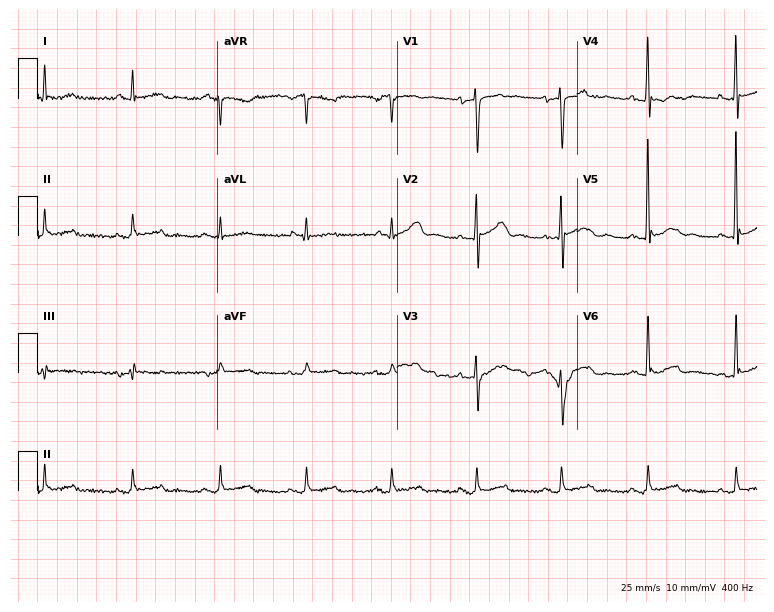
12-lead ECG from a male patient, 69 years old (7.3-second recording at 400 Hz). No first-degree AV block, right bundle branch block (RBBB), left bundle branch block (LBBB), sinus bradycardia, atrial fibrillation (AF) or sinus tachycardia recorded for this tracing.